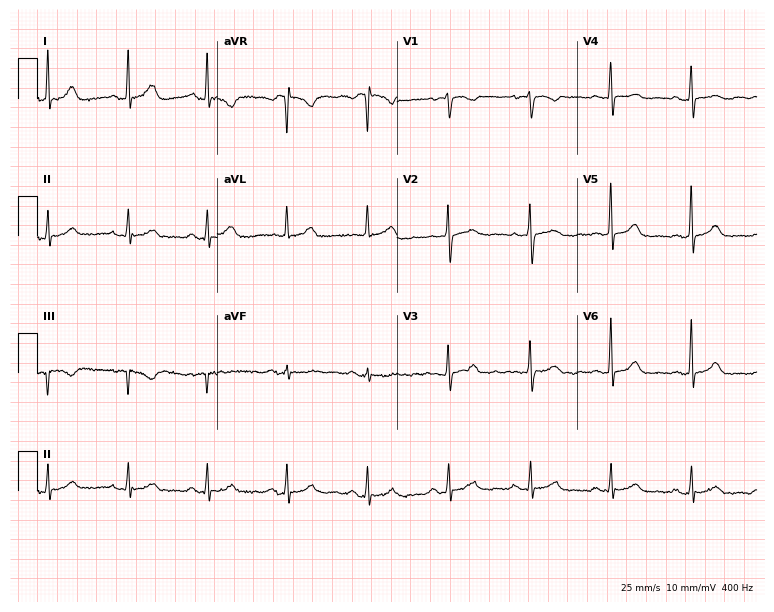
12-lead ECG from a 73-year-old female (7.3-second recording at 400 Hz). No first-degree AV block, right bundle branch block, left bundle branch block, sinus bradycardia, atrial fibrillation or sinus tachycardia recorded for this tracing. Only these six findings were labelled.